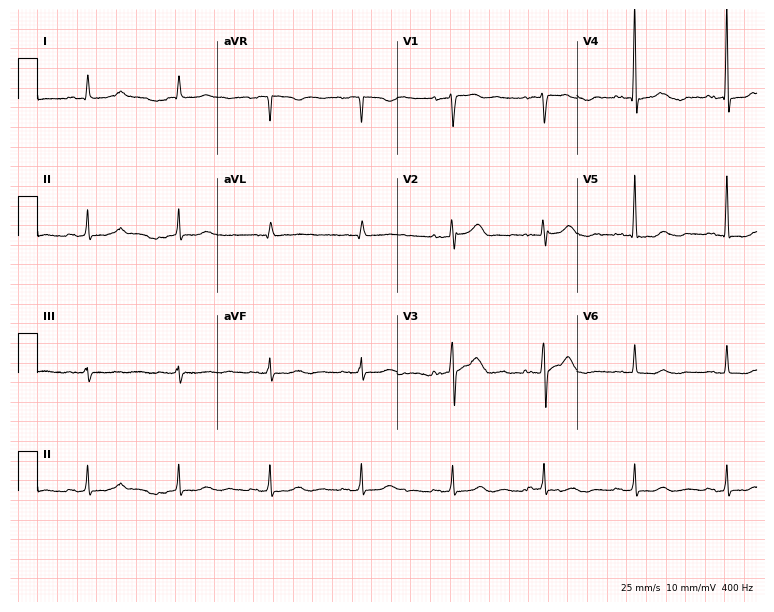
Resting 12-lead electrocardiogram. Patient: a female, 63 years old. None of these six findings is recorded: first-degree AV block, right bundle branch block, left bundle branch block, sinus bradycardia, atrial fibrillation, sinus tachycardia. Findings outside these six are not listed.